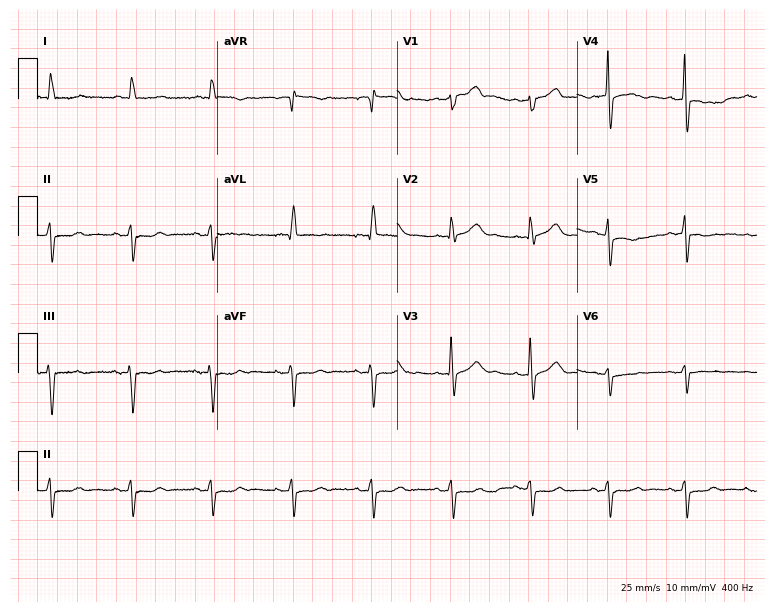
Resting 12-lead electrocardiogram (7.3-second recording at 400 Hz). Patient: a 72-year-old male. None of these six findings is recorded: first-degree AV block, right bundle branch block (RBBB), left bundle branch block (LBBB), sinus bradycardia, atrial fibrillation (AF), sinus tachycardia.